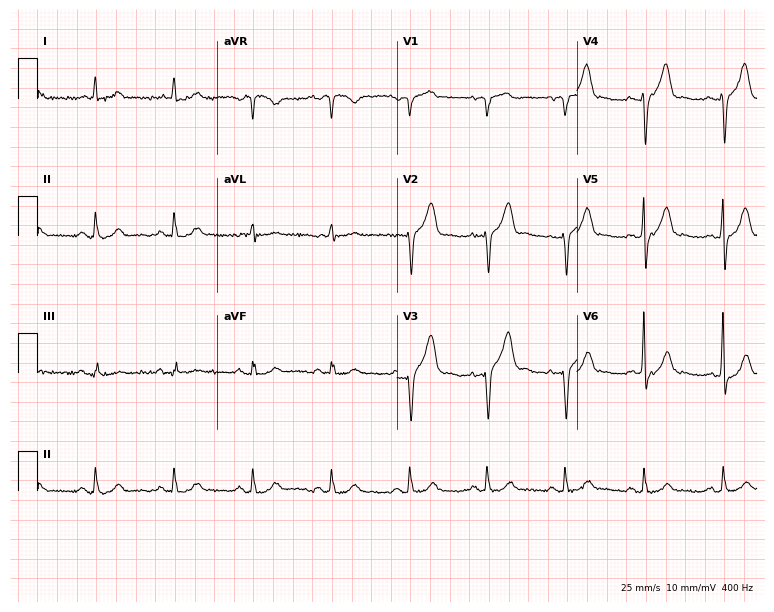
12-lead ECG (7.3-second recording at 400 Hz) from an 83-year-old man. Labelled as a normal ECG.